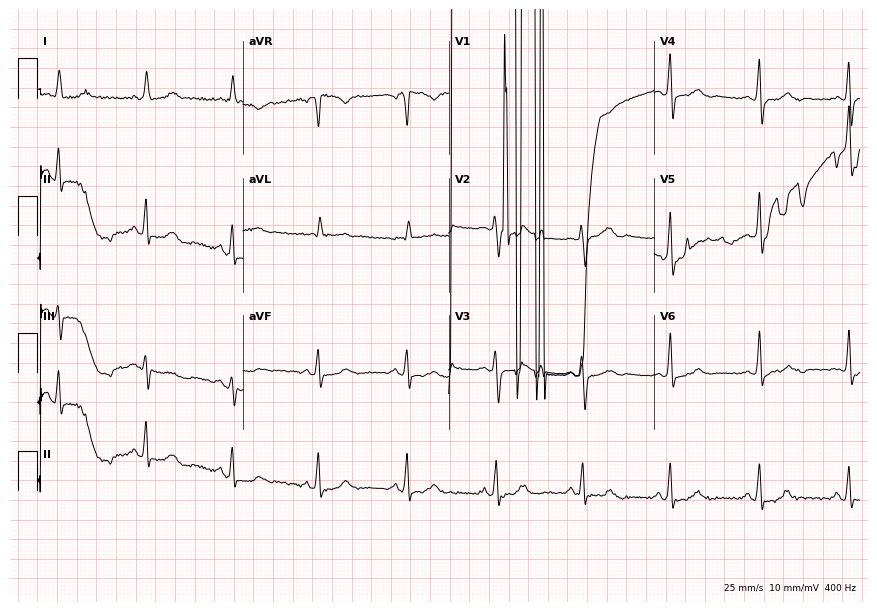
12-lead ECG from a female, 51 years old (8.4-second recording at 400 Hz). No first-degree AV block, right bundle branch block, left bundle branch block, sinus bradycardia, atrial fibrillation or sinus tachycardia recorded for this tracing. Only these six findings were labelled.